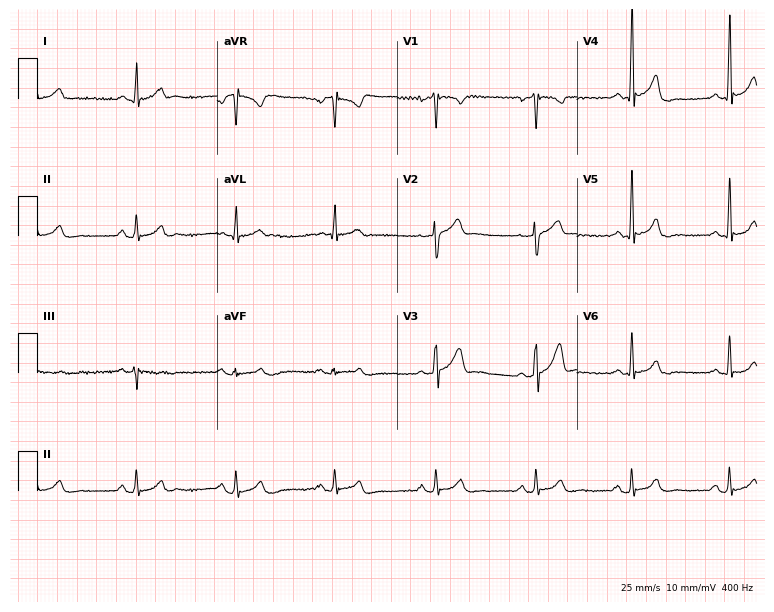
Resting 12-lead electrocardiogram (7.3-second recording at 400 Hz). Patient: a male, 40 years old. Read as a normal ECG.